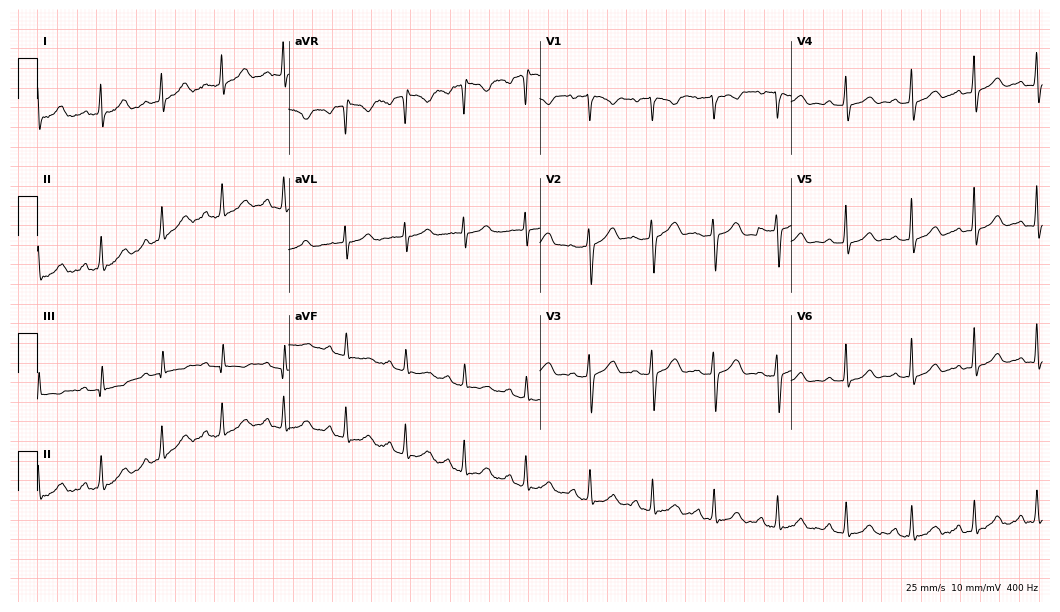
Electrocardiogram, a 30-year-old female patient. Overall reading on record: normal ECG.